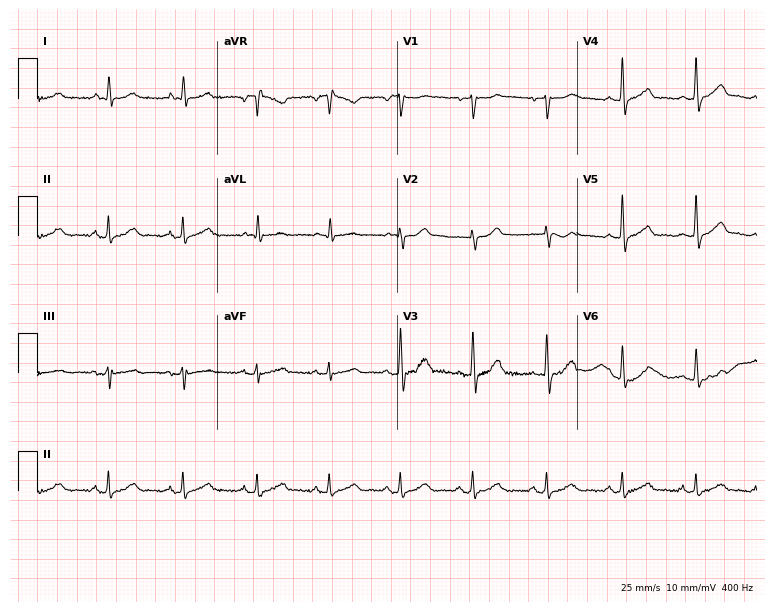
Resting 12-lead electrocardiogram (7.3-second recording at 400 Hz). Patient: a female, 68 years old. Read as a normal ECG.